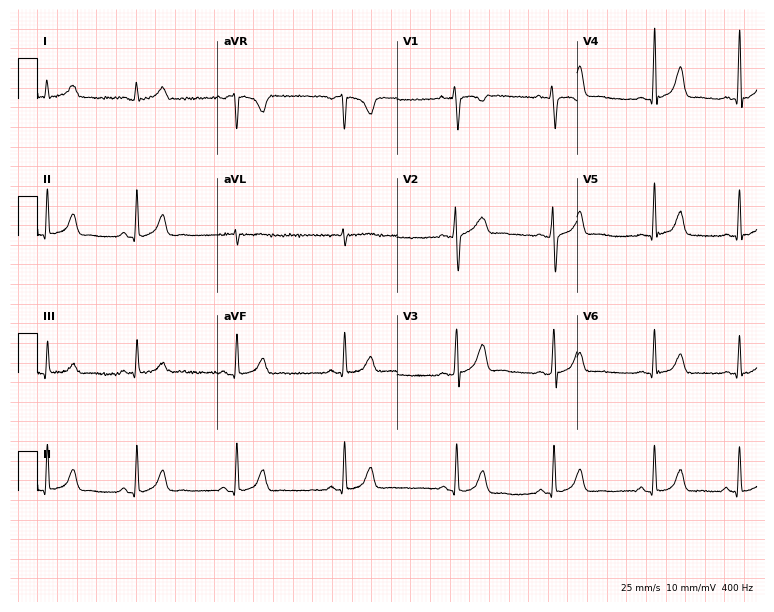
Standard 12-lead ECG recorded from a woman, 23 years old. Read as a normal ECG.